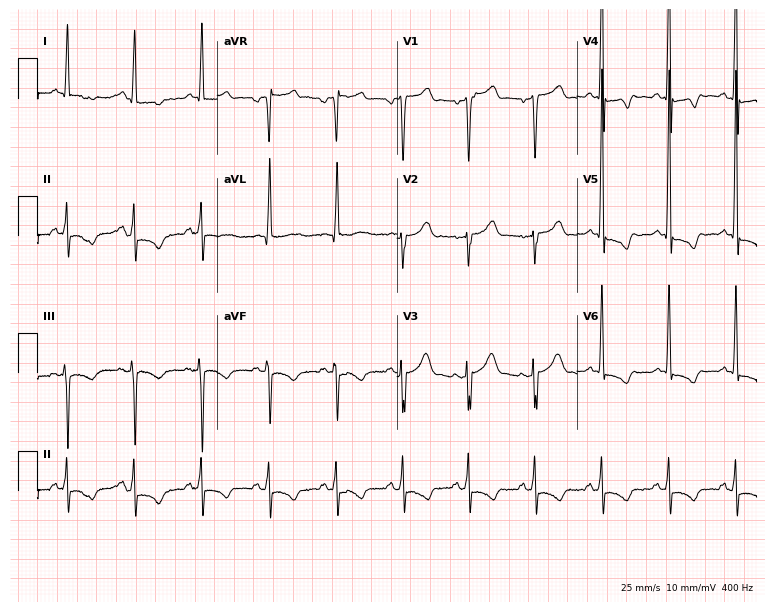
12-lead ECG from a man, 50 years old. No first-degree AV block, right bundle branch block (RBBB), left bundle branch block (LBBB), sinus bradycardia, atrial fibrillation (AF) or sinus tachycardia recorded for this tracing.